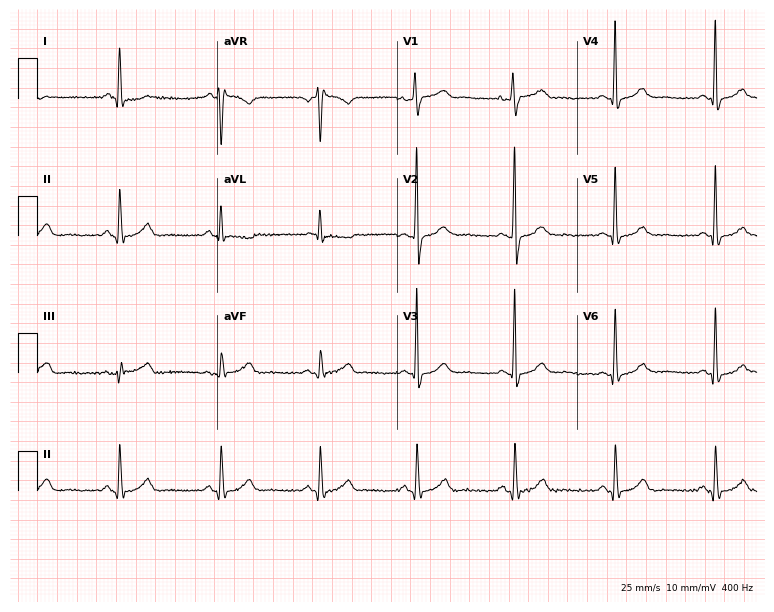
ECG (7.3-second recording at 400 Hz) — a man, 55 years old. Labelled as a normal ECG.